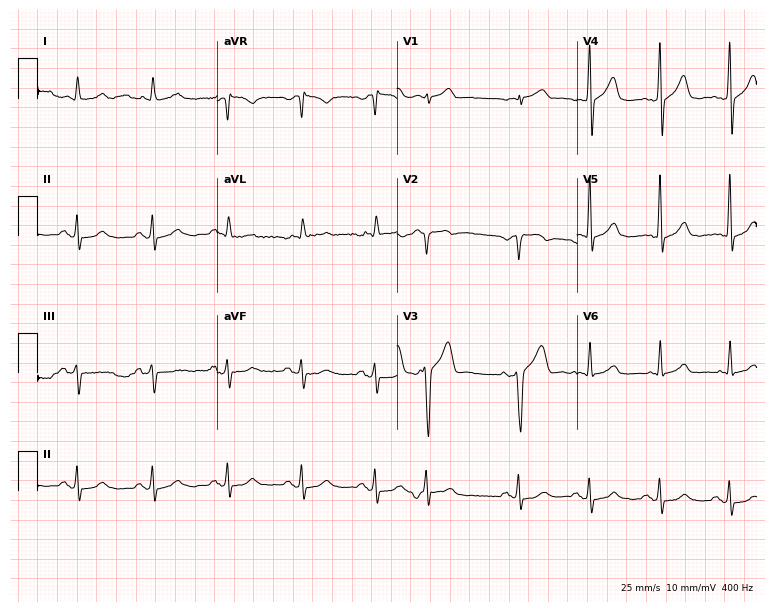
Resting 12-lead electrocardiogram (7.3-second recording at 400 Hz). Patient: a 51-year-old male. None of these six findings is recorded: first-degree AV block, right bundle branch block, left bundle branch block, sinus bradycardia, atrial fibrillation, sinus tachycardia. Only these six findings were labelled.